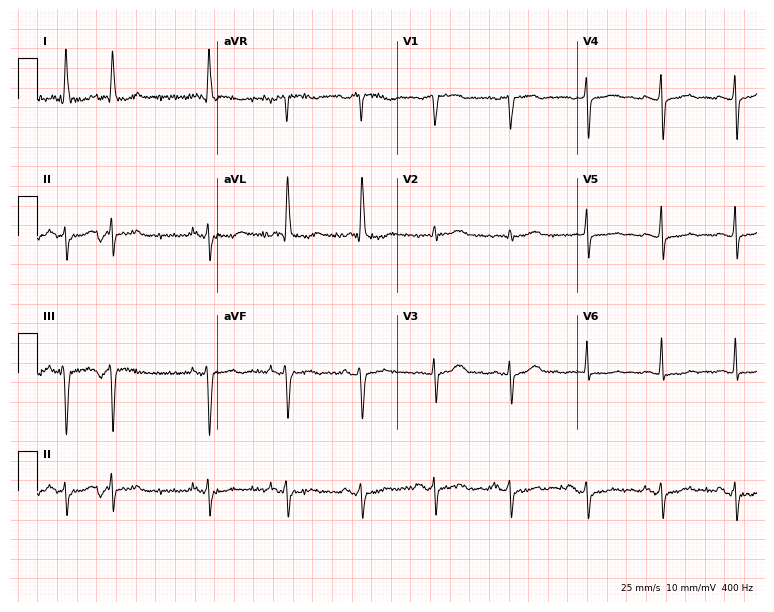
ECG (7.3-second recording at 400 Hz) — a female patient, 63 years old. Screened for six findings — first-degree AV block, right bundle branch block, left bundle branch block, sinus bradycardia, atrial fibrillation, sinus tachycardia — none is recorded. Findings outside these six are not listed.